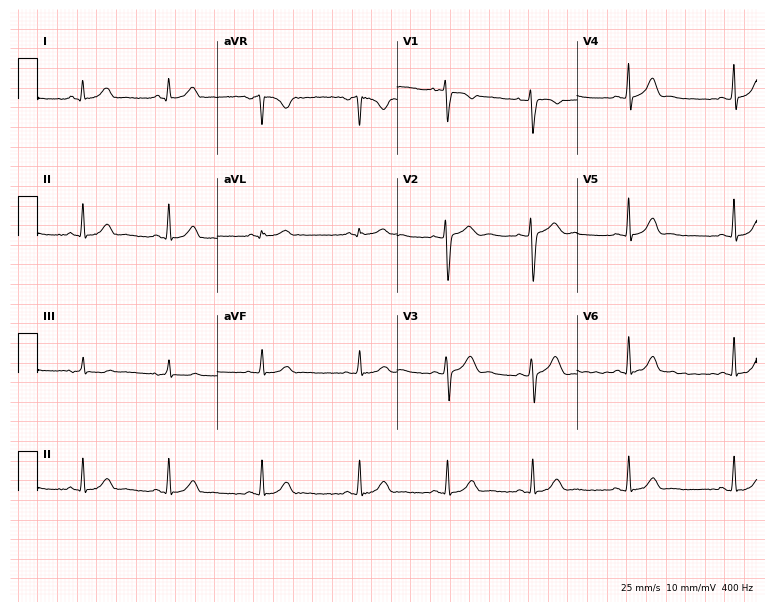
Resting 12-lead electrocardiogram. Patient: a woman, 24 years old. None of these six findings is recorded: first-degree AV block, right bundle branch block, left bundle branch block, sinus bradycardia, atrial fibrillation, sinus tachycardia. Only these six findings were labelled.